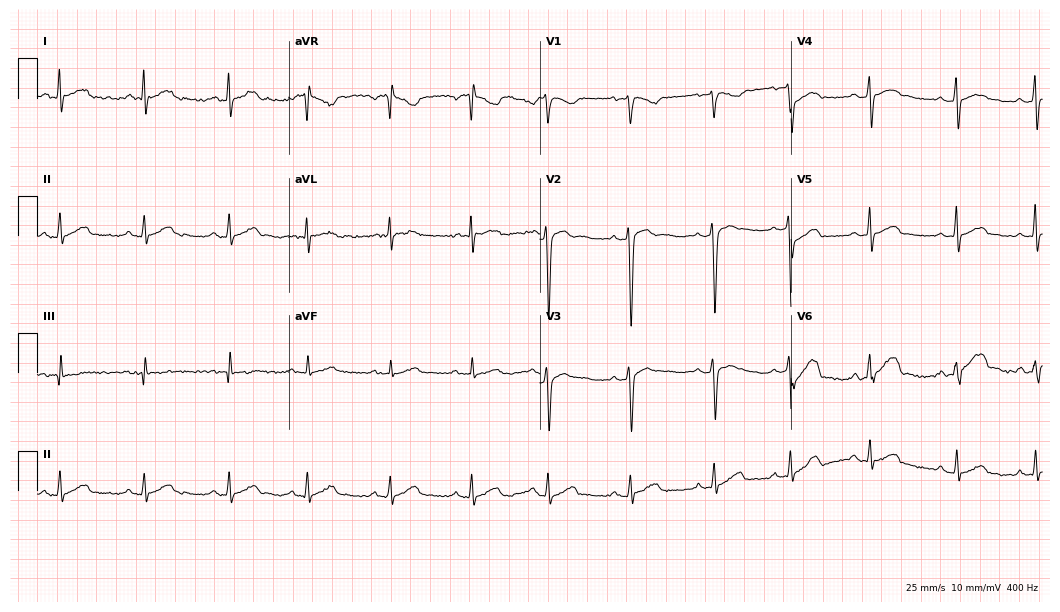
Standard 12-lead ECG recorded from a 24-year-old male patient (10.2-second recording at 400 Hz). Read as a normal ECG.